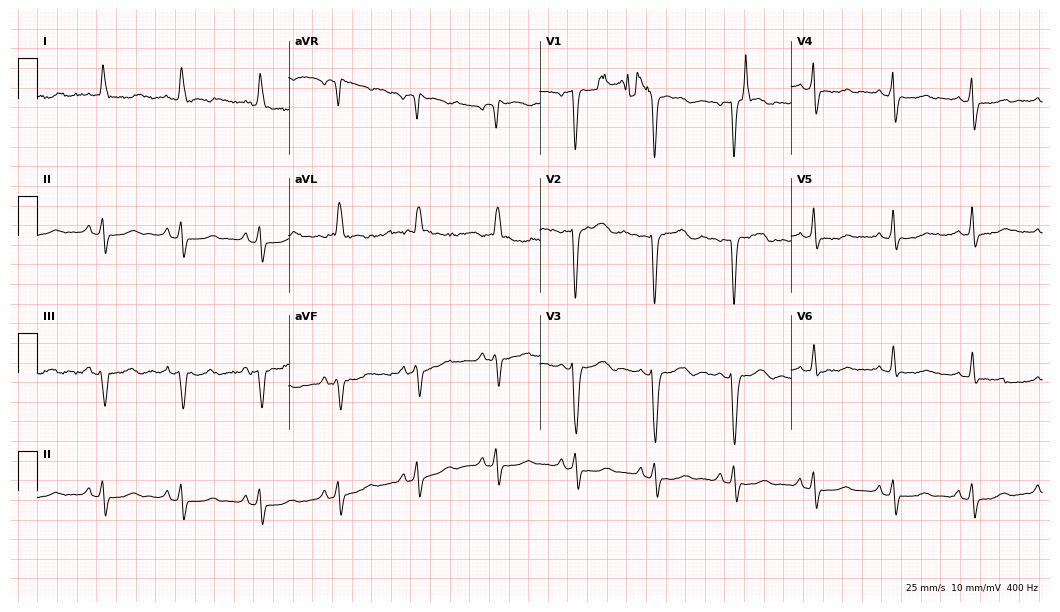
12-lead ECG from an 86-year-old female patient. No first-degree AV block, right bundle branch block, left bundle branch block, sinus bradycardia, atrial fibrillation or sinus tachycardia recorded for this tracing.